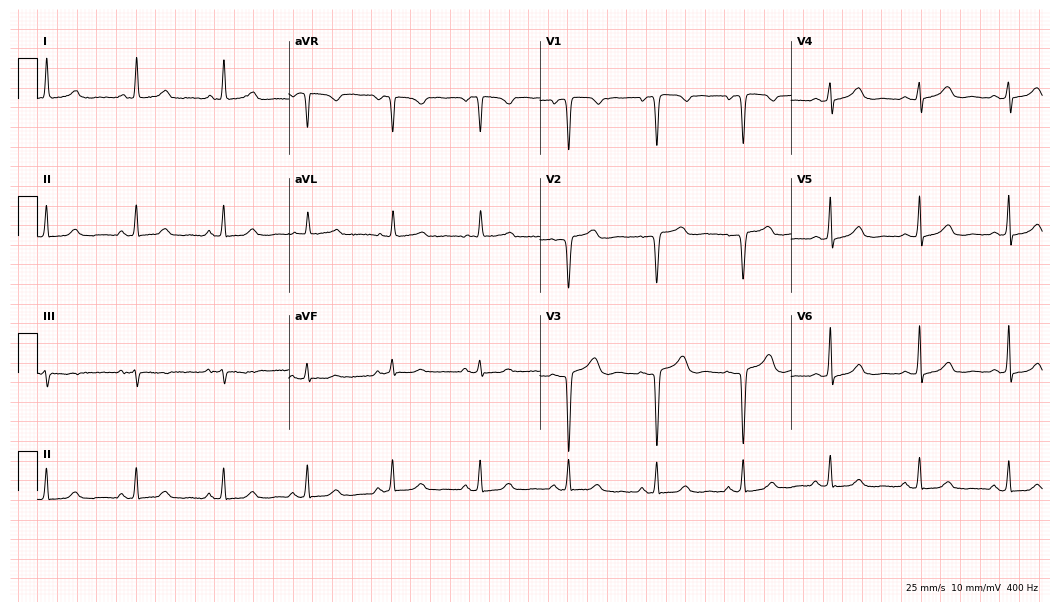
12-lead ECG from a woman, 52 years old (10.2-second recording at 400 Hz). No first-degree AV block, right bundle branch block, left bundle branch block, sinus bradycardia, atrial fibrillation or sinus tachycardia recorded for this tracing. Only these six findings were labelled.